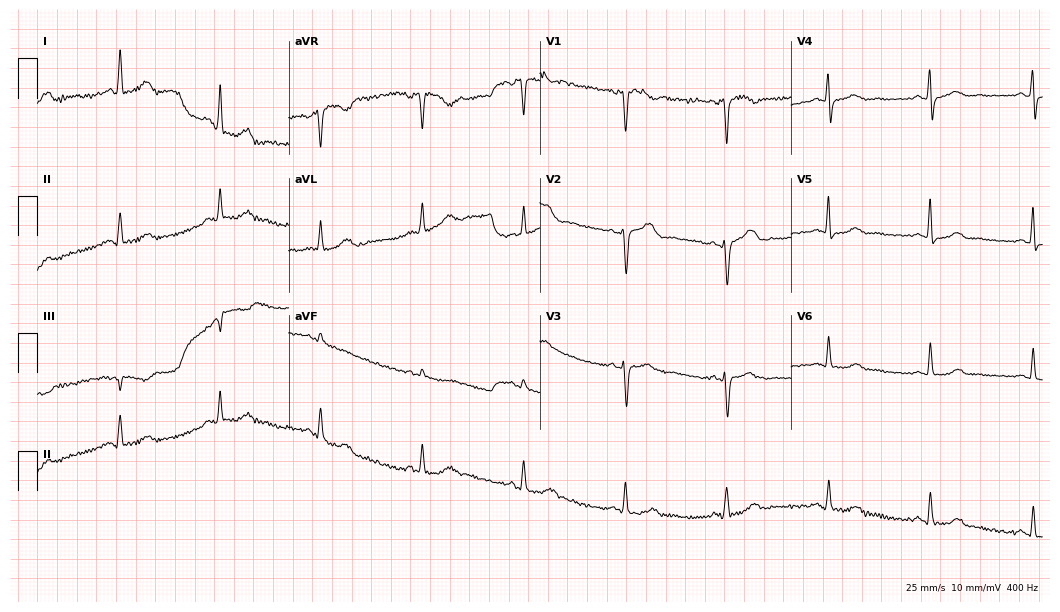
Standard 12-lead ECG recorded from a 59-year-old woman (10.2-second recording at 400 Hz). Read as a normal ECG.